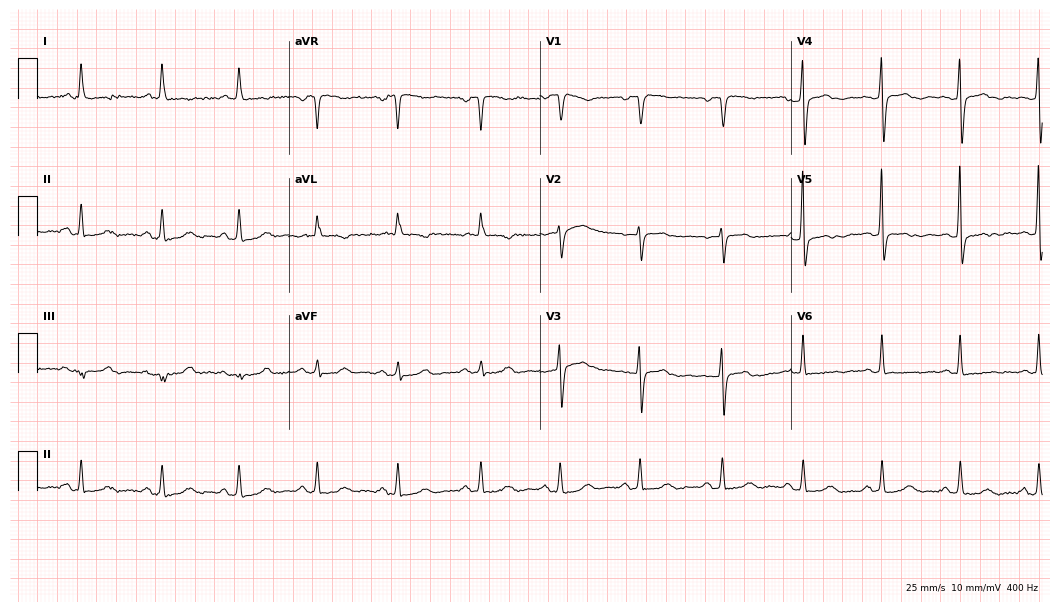
12-lead ECG from a 60-year-old female patient (10.2-second recording at 400 Hz). No first-degree AV block, right bundle branch block, left bundle branch block, sinus bradycardia, atrial fibrillation or sinus tachycardia recorded for this tracing.